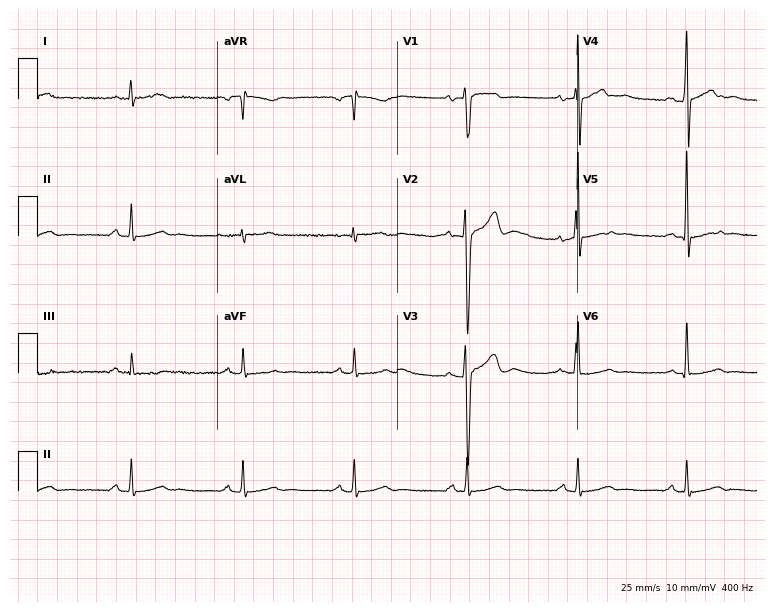
ECG — a male patient, 39 years old. Screened for six findings — first-degree AV block, right bundle branch block, left bundle branch block, sinus bradycardia, atrial fibrillation, sinus tachycardia — none is recorded.